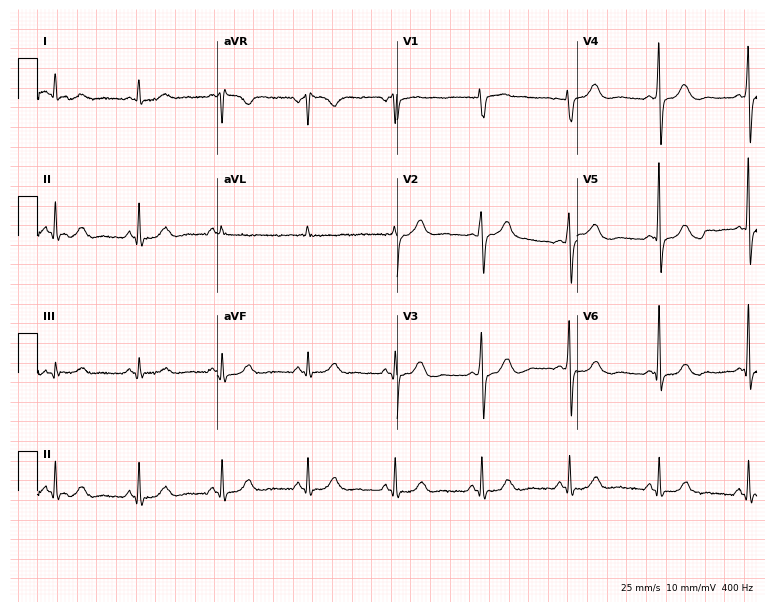
12-lead ECG from a 64-year-old man. No first-degree AV block, right bundle branch block (RBBB), left bundle branch block (LBBB), sinus bradycardia, atrial fibrillation (AF) or sinus tachycardia recorded for this tracing. Only these six findings were labelled.